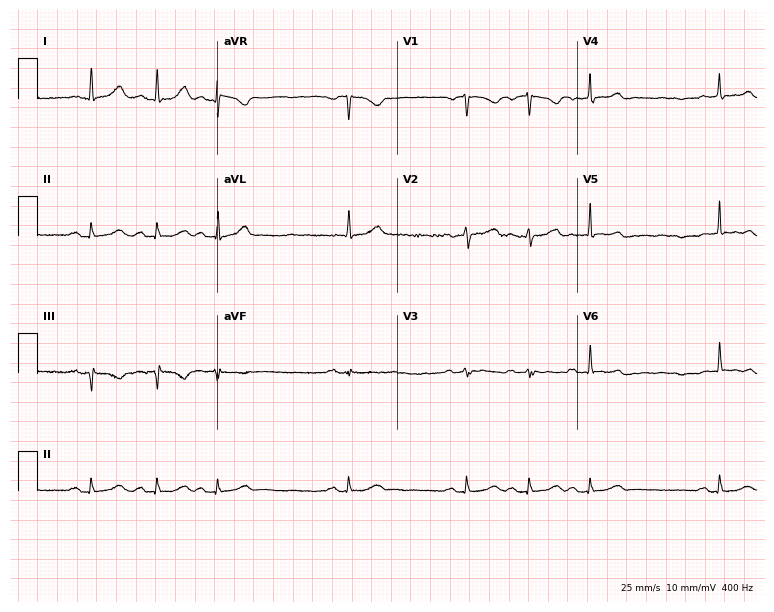
Electrocardiogram (7.3-second recording at 400 Hz), a 72-year-old male patient. Interpretation includes sinus bradycardia (a sinus rate of 50 beats per minute or less).